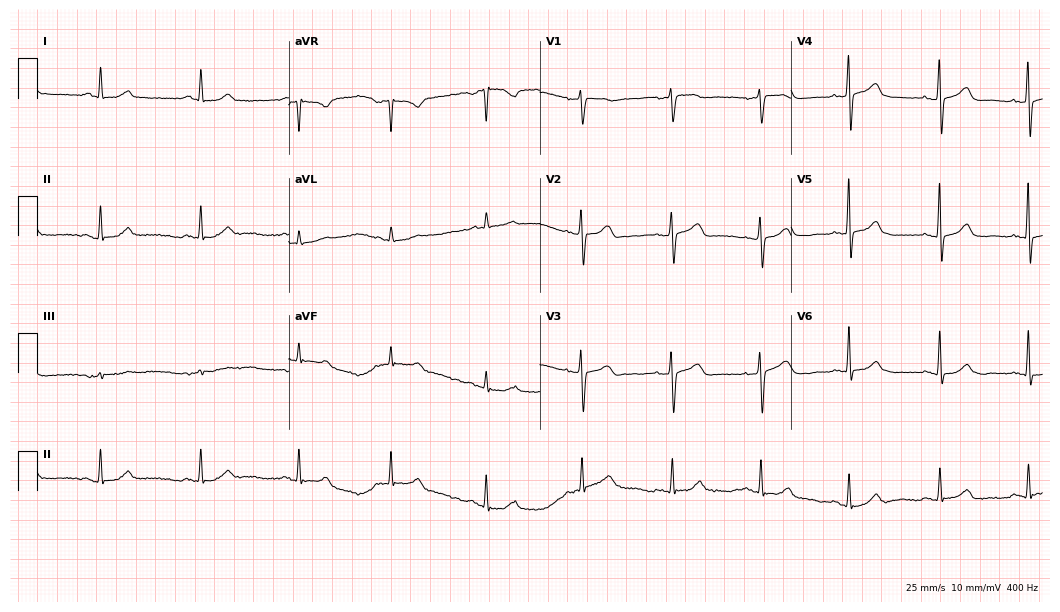
ECG (10.2-second recording at 400 Hz) — a female patient, 58 years old. Screened for six findings — first-degree AV block, right bundle branch block, left bundle branch block, sinus bradycardia, atrial fibrillation, sinus tachycardia — none is recorded.